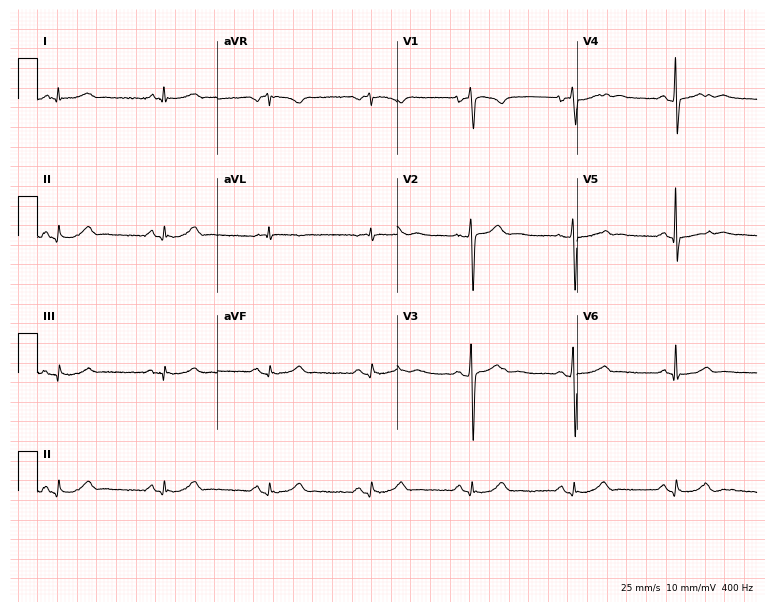
Resting 12-lead electrocardiogram. Patient: a male, 66 years old. None of these six findings is recorded: first-degree AV block, right bundle branch block, left bundle branch block, sinus bradycardia, atrial fibrillation, sinus tachycardia. Findings outside these six are not listed.